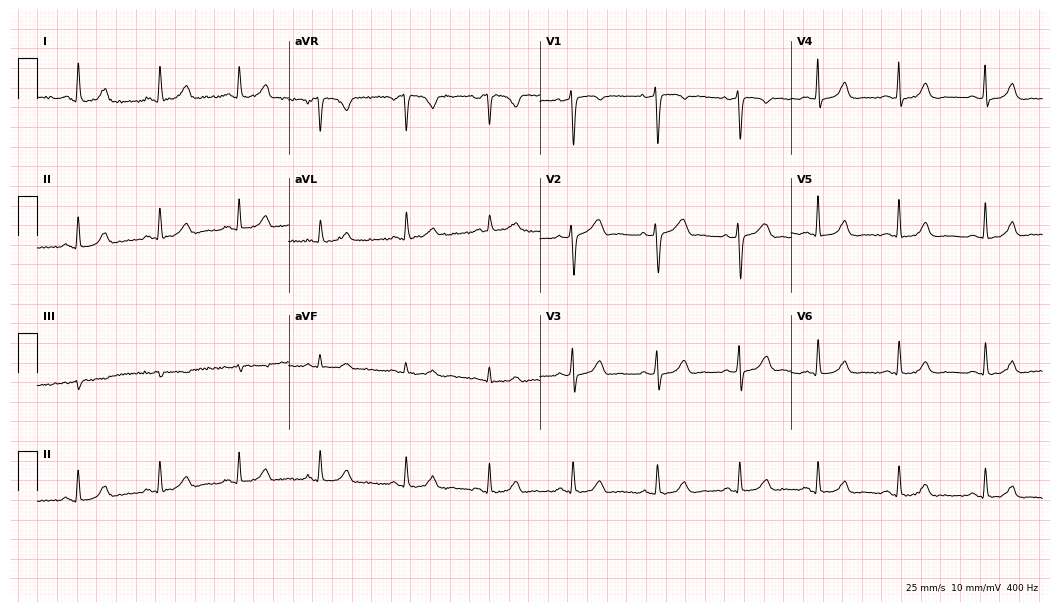
Resting 12-lead electrocardiogram. Patient: a woman, 43 years old. None of these six findings is recorded: first-degree AV block, right bundle branch block, left bundle branch block, sinus bradycardia, atrial fibrillation, sinus tachycardia.